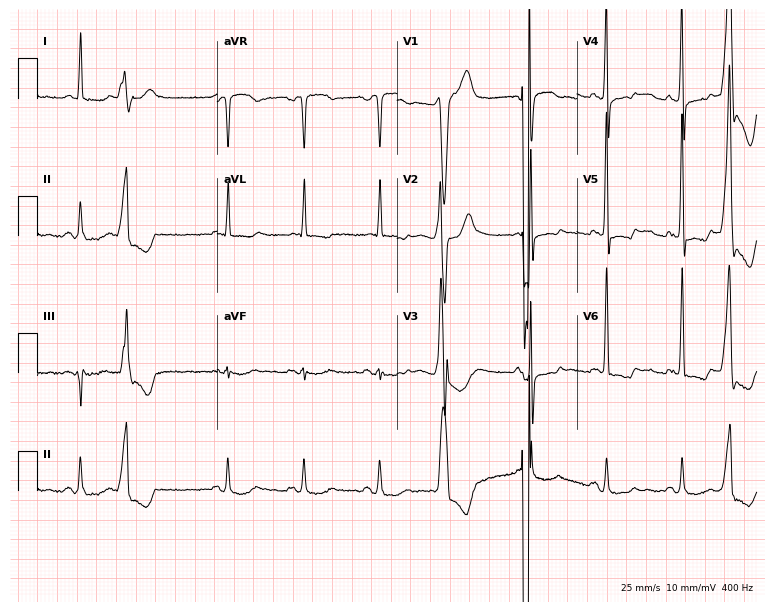
Electrocardiogram, a 78-year-old male patient. Of the six screened findings (first-degree AV block, right bundle branch block, left bundle branch block, sinus bradycardia, atrial fibrillation, sinus tachycardia), none is recorded. Only these six findings were labelled.